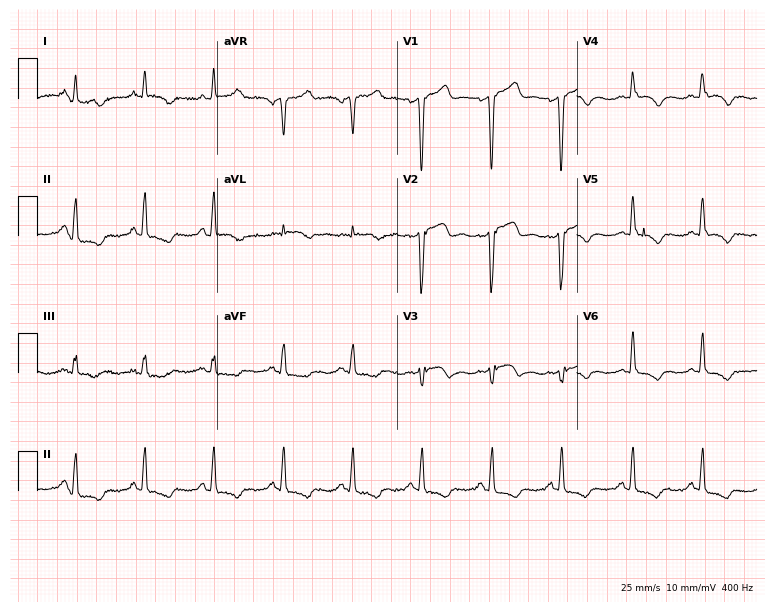
12-lead ECG from a male patient, 71 years old. Screened for six findings — first-degree AV block, right bundle branch block, left bundle branch block, sinus bradycardia, atrial fibrillation, sinus tachycardia — none is recorded.